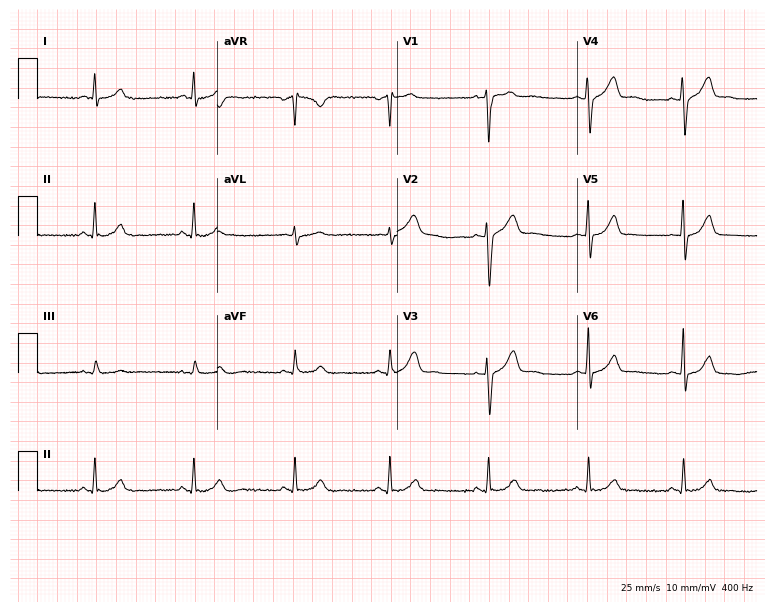
Standard 12-lead ECG recorded from a 43-year-old male patient. Read as a normal ECG.